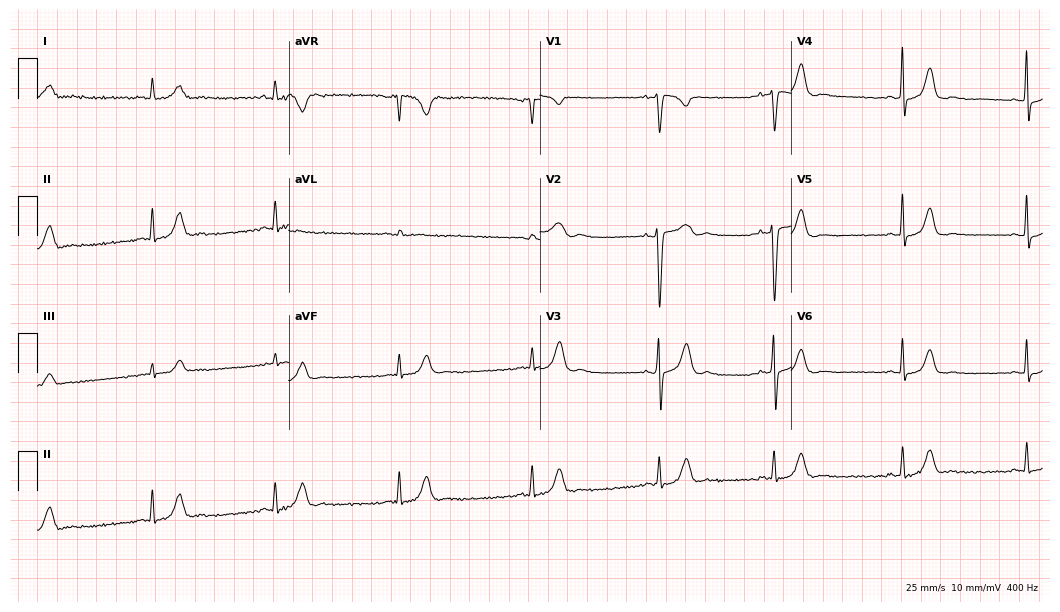
12-lead ECG from a 33-year-old female patient. Recorded interpretation: within normal limits.